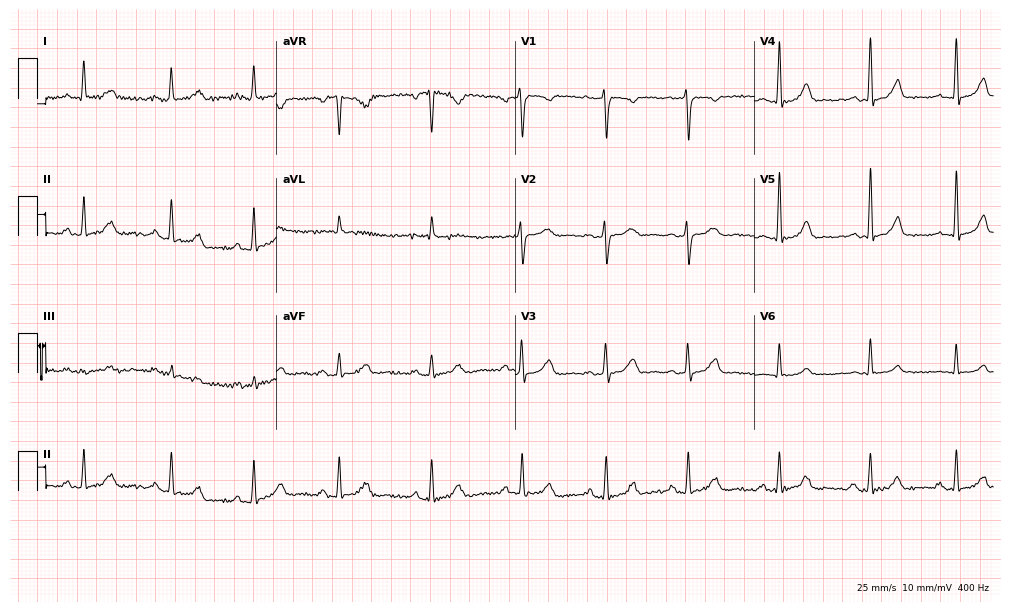
Standard 12-lead ECG recorded from a 37-year-old female. Read as a normal ECG.